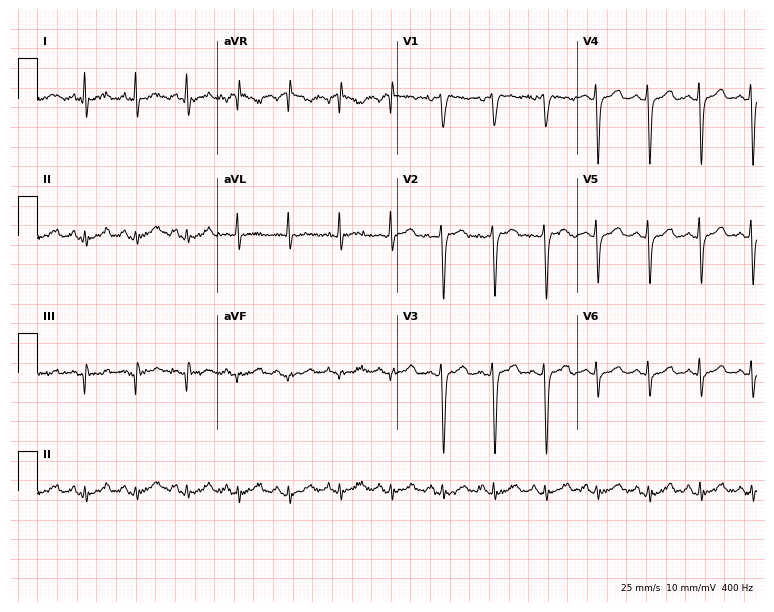
ECG (7.3-second recording at 400 Hz) — a 64-year-old woman. Findings include sinus tachycardia (a sinus rate of 100 beats per minute or more).